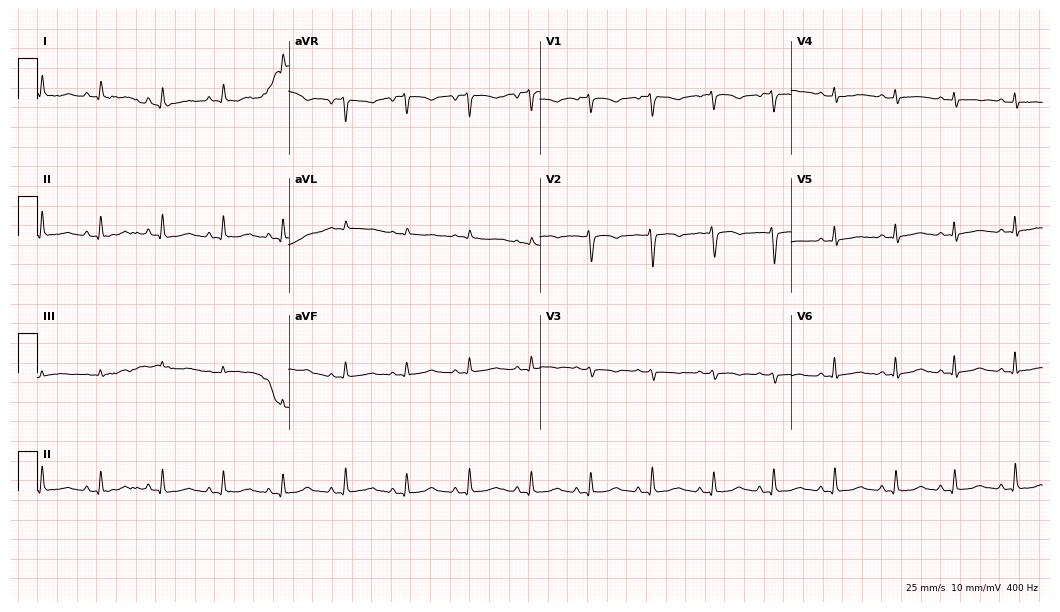
Standard 12-lead ECG recorded from a woman, 46 years old. Read as a normal ECG.